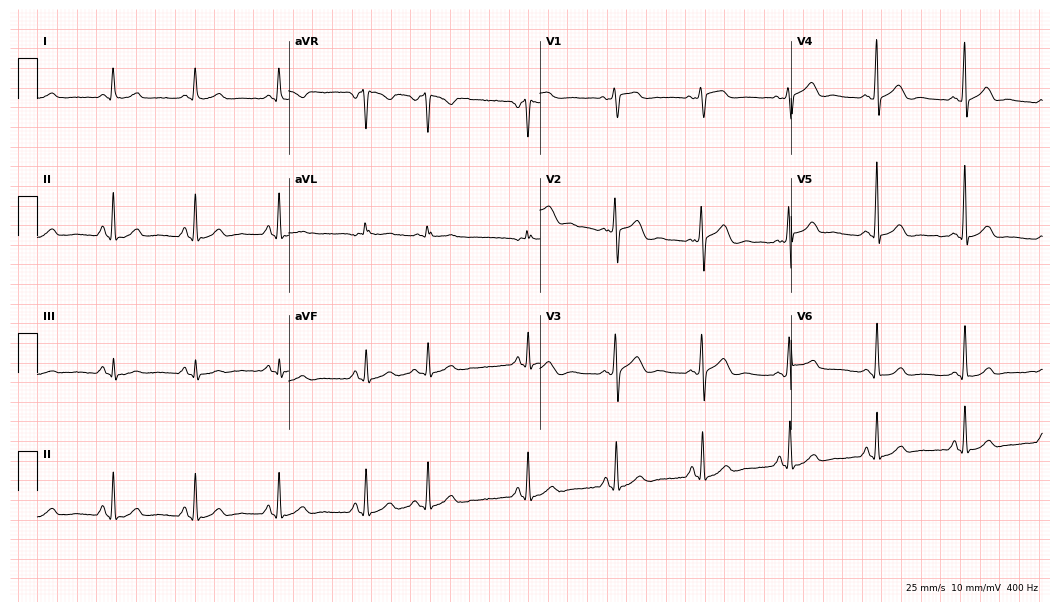
Electrocardiogram (10.2-second recording at 400 Hz), a 59-year-old male patient. Of the six screened findings (first-degree AV block, right bundle branch block, left bundle branch block, sinus bradycardia, atrial fibrillation, sinus tachycardia), none is recorded.